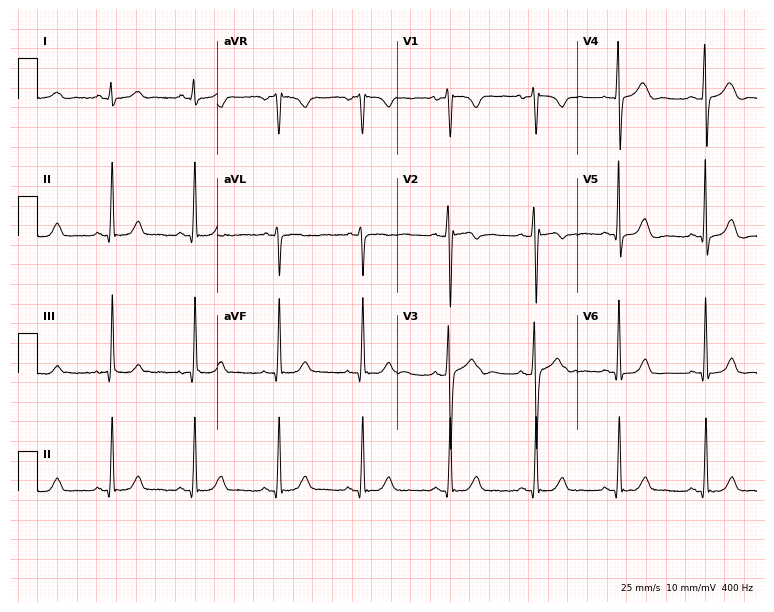
12-lead ECG from a 32-year-old male patient (7.3-second recording at 400 Hz). Recorded interpretation: within normal limits.